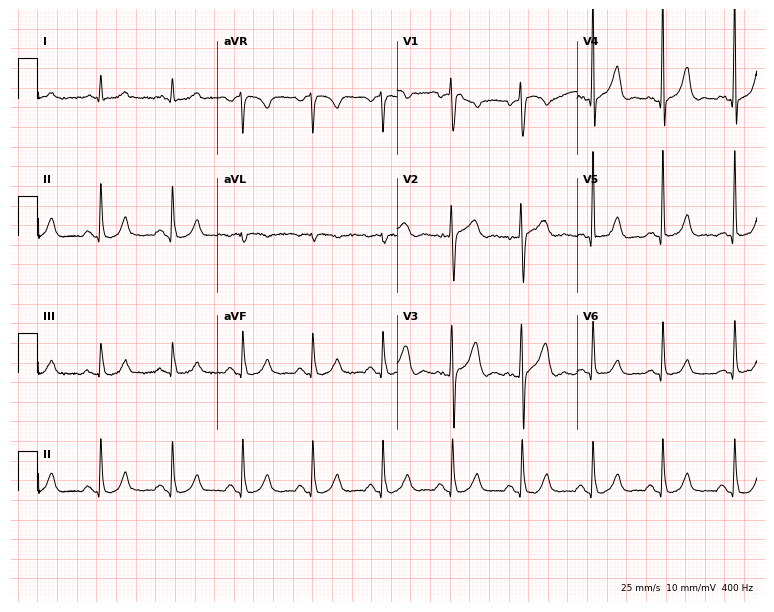
ECG — a 60-year-old male patient. Labelled as a normal ECG.